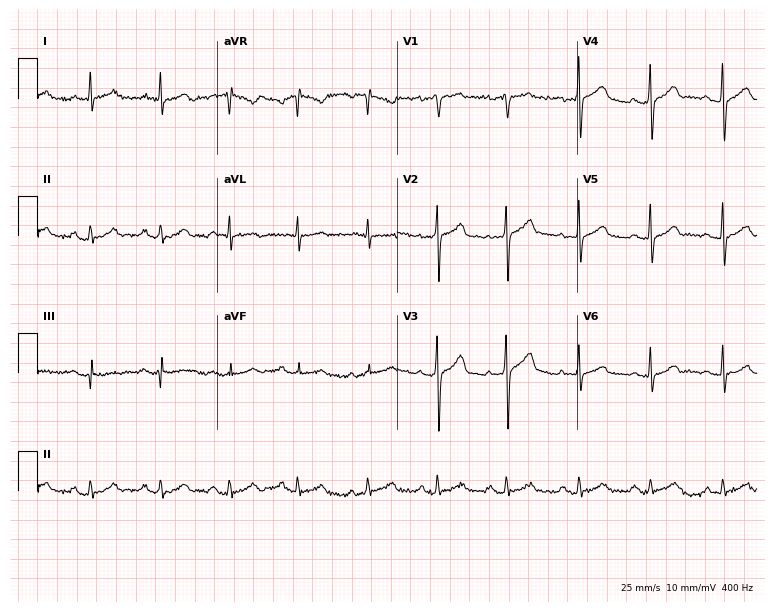
12-lead ECG from a male, 39 years old (7.3-second recording at 400 Hz). Recorded interpretation: within normal limits.